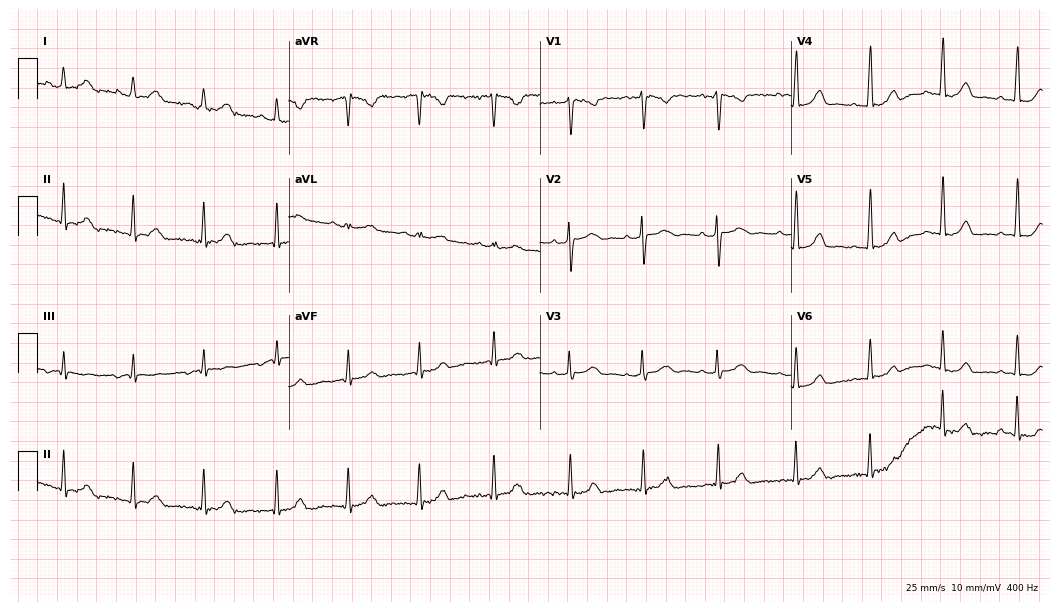
Standard 12-lead ECG recorded from a 41-year-old woman. None of these six findings is recorded: first-degree AV block, right bundle branch block, left bundle branch block, sinus bradycardia, atrial fibrillation, sinus tachycardia. Other findings, if any, are not listed.